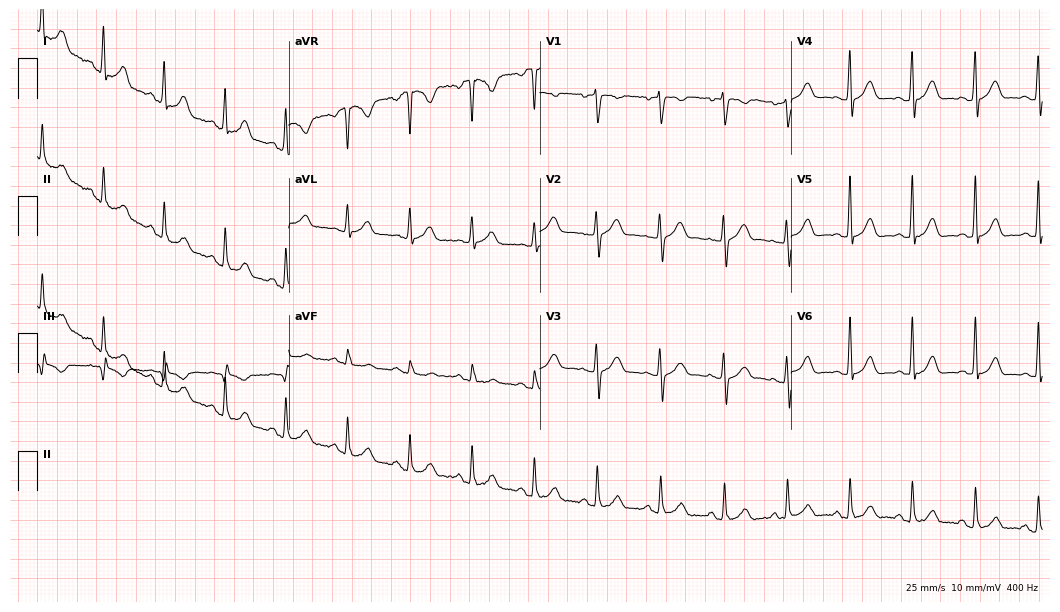
Resting 12-lead electrocardiogram (10.2-second recording at 400 Hz). Patient: a 45-year-old woman. Read as a normal ECG.